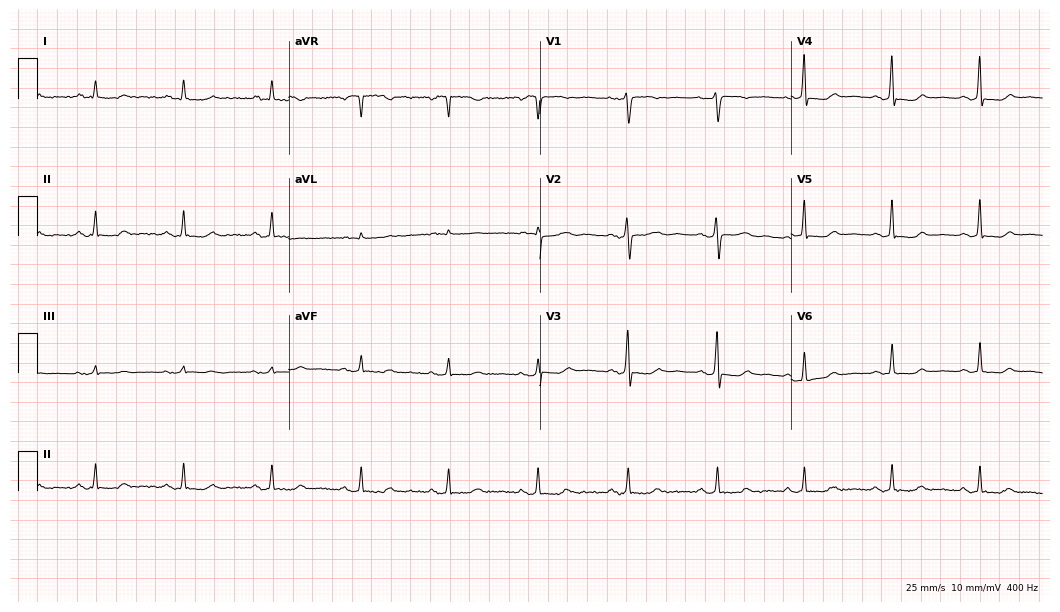
12-lead ECG from a 46-year-old female. No first-degree AV block, right bundle branch block, left bundle branch block, sinus bradycardia, atrial fibrillation or sinus tachycardia recorded for this tracing.